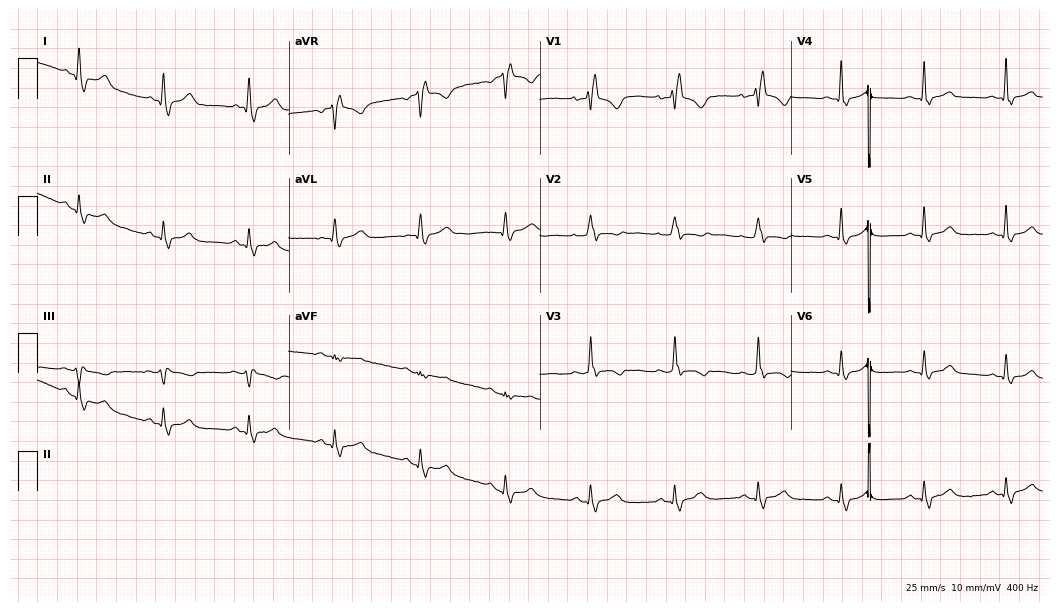
12-lead ECG from a female patient, 43 years old (10.2-second recording at 400 Hz). Shows right bundle branch block (RBBB).